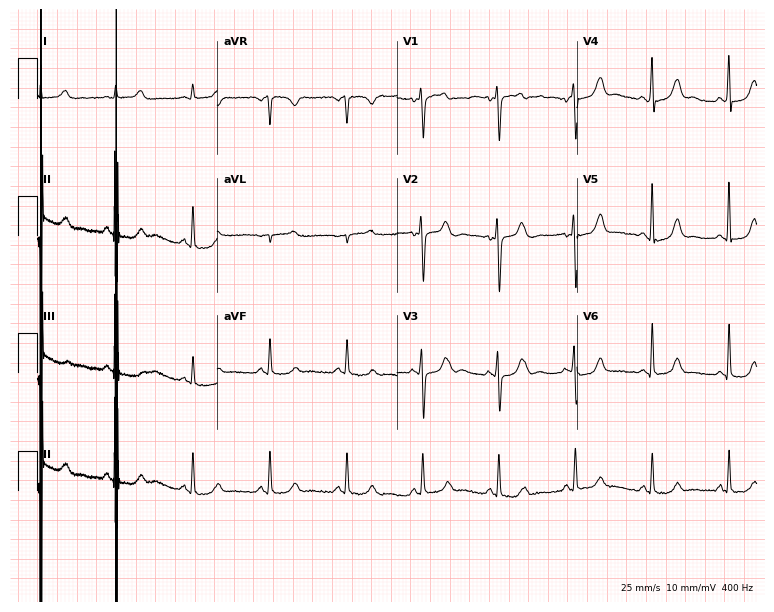
12-lead ECG from a woman, 43 years old. No first-degree AV block, right bundle branch block, left bundle branch block, sinus bradycardia, atrial fibrillation or sinus tachycardia recorded for this tracing.